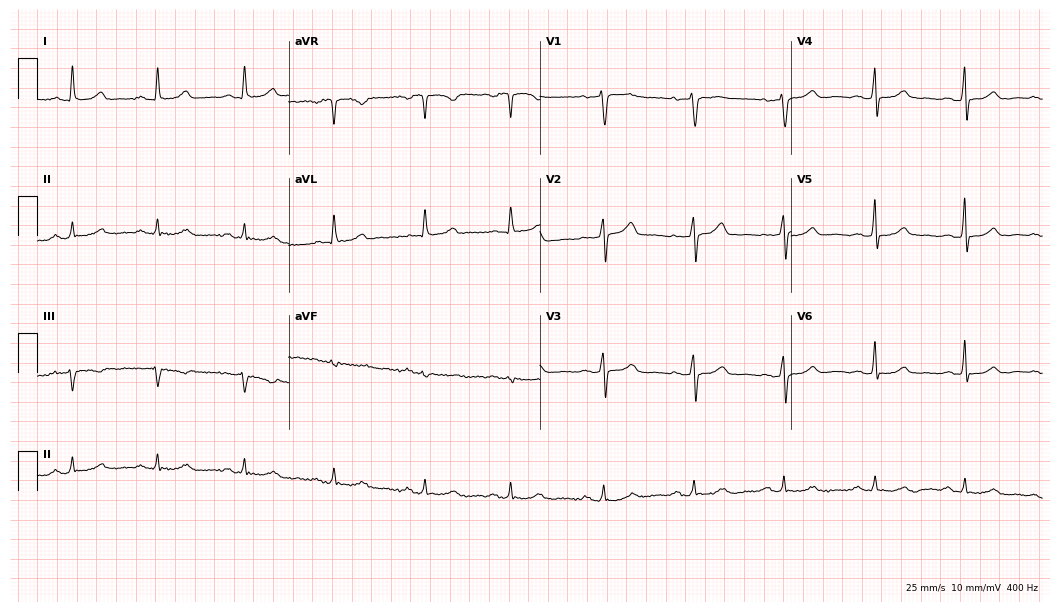
12-lead ECG from a 57-year-old female (10.2-second recording at 400 Hz). Recorded interpretation: within normal limits.